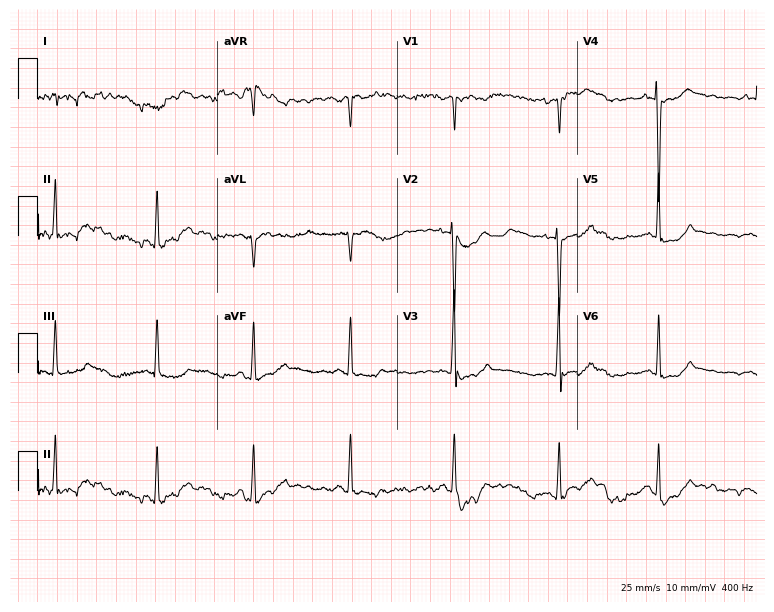
ECG — a female, 68 years old. Screened for six findings — first-degree AV block, right bundle branch block, left bundle branch block, sinus bradycardia, atrial fibrillation, sinus tachycardia — none is recorded.